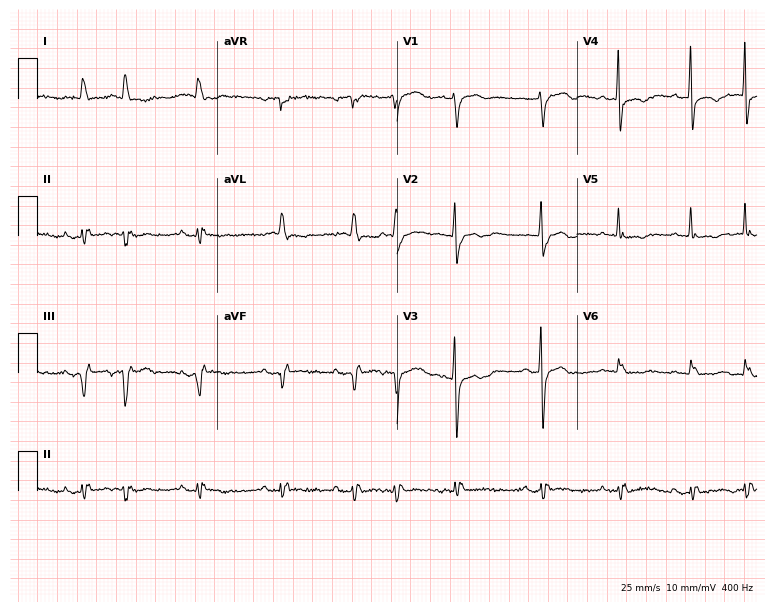
Standard 12-lead ECG recorded from an 80-year-old male. None of these six findings is recorded: first-degree AV block, right bundle branch block (RBBB), left bundle branch block (LBBB), sinus bradycardia, atrial fibrillation (AF), sinus tachycardia. Only these six findings were labelled.